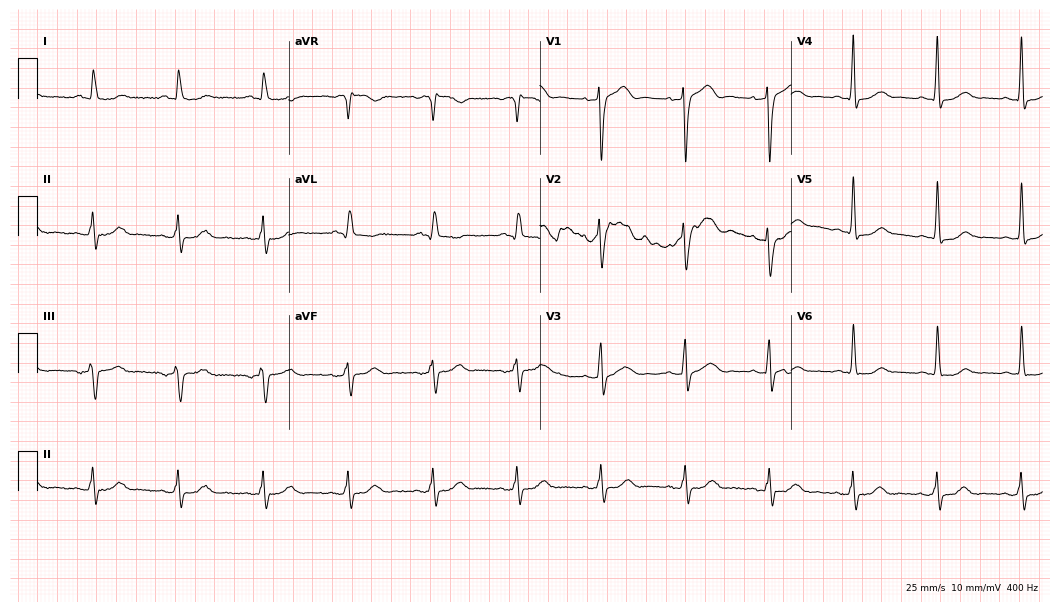
12-lead ECG from an 84-year-old man. Screened for six findings — first-degree AV block, right bundle branch block, left bundle branch block, sinus bradycardia, atrial fibrillation, sinus tachycardia — none is recorded.